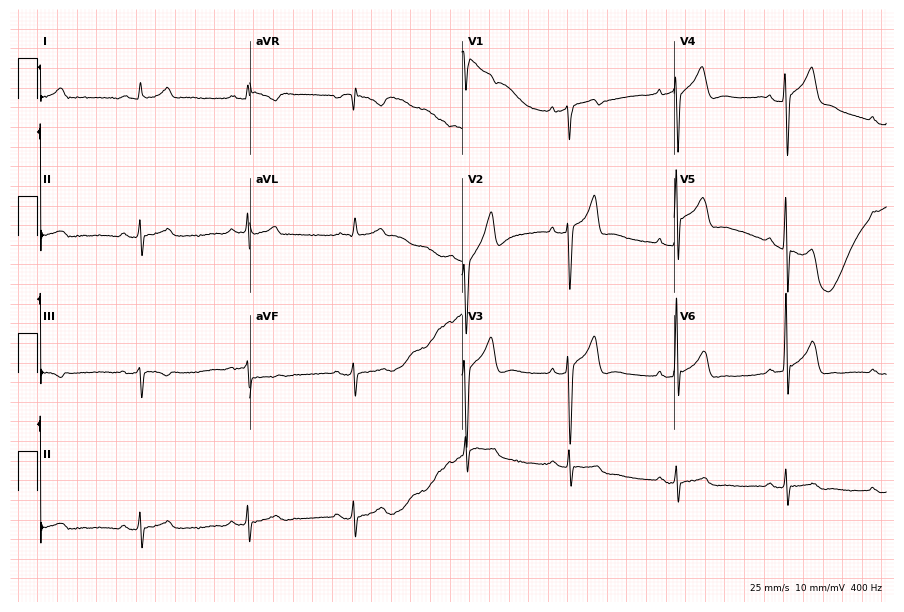
Resting 12-lead electrocardiogram. Patient: a man, 46 years old. None of these six findings is recorded: first-degree AV block, right bundle branch block, left bundle branch block, sinus bradycardia, atrial fibrillation, sinus tachycardia. Only these six findings were labelled.